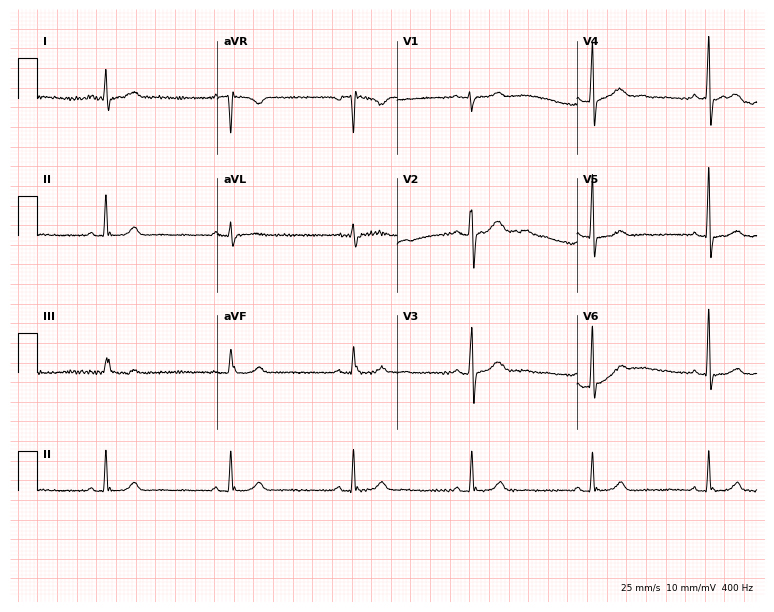
ECG — a female, 53 years old. Labelled as a normal ECG.